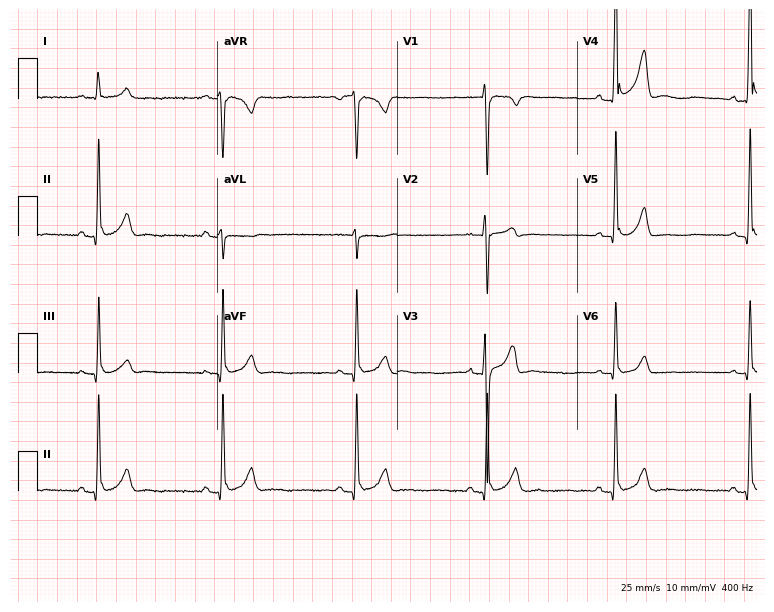
Electrocardiogram (7.3-second recording at 400 Hz), a man, 36 years old. Of the six screened findings (first-degree AV block, right bundle branch block (RBBB), left bundle branch block (LBBB), sinus bradycardia, atrial fibrillation (AF), sinus tachycardia), none is recorded.